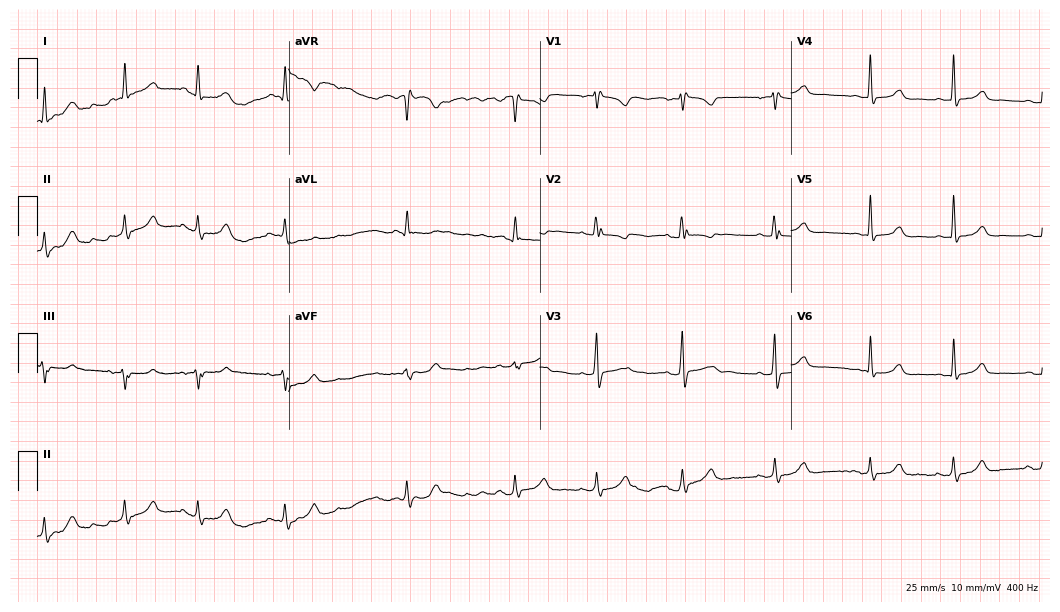
Standard 12-lead ECG recorded from a female, 27 years old. None of these six findings is recorded: first-degree AV block, right bundle branch block, left bundle branch block, sinus bradycardia, atrial fibrillation, sinus tachycardia. Only these six findings were labelled.